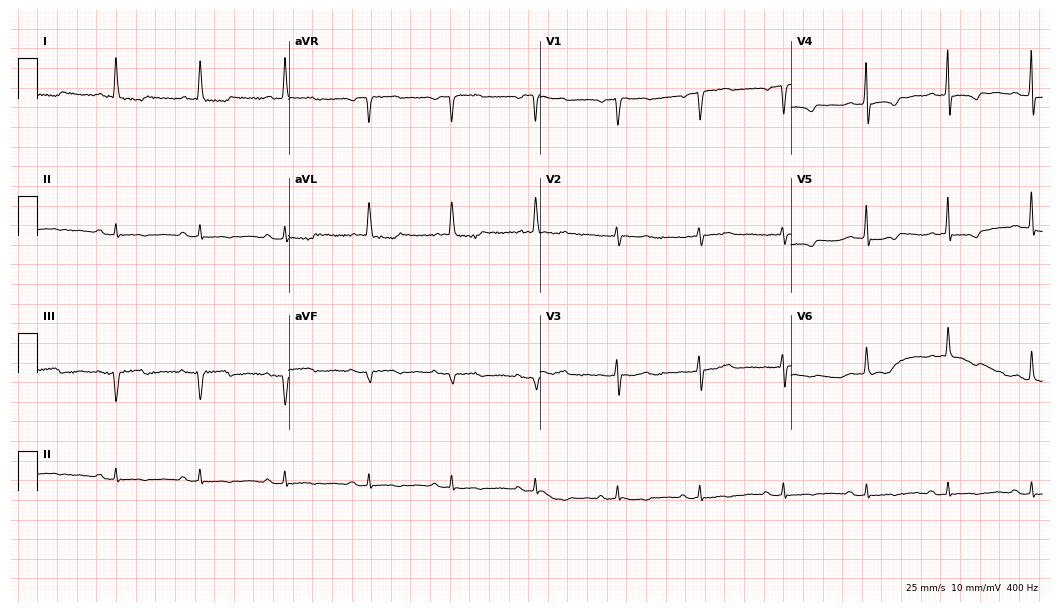
Resting 12-lead electrocardiogram. Patient: a female, 72 years old. Read as a normal ECG.